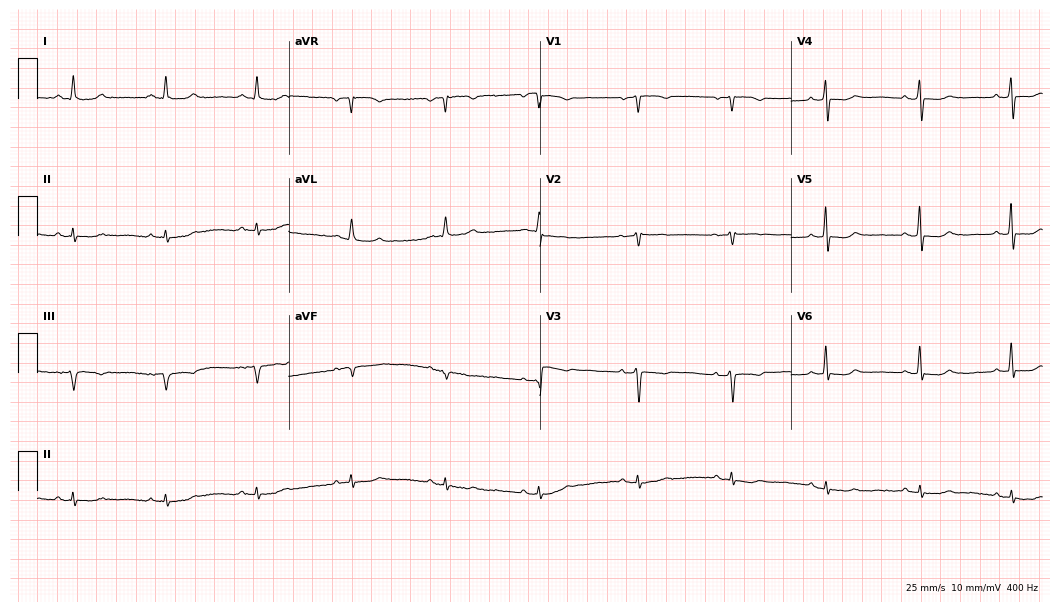
12-lead ECG from a 60-year-old female (10.2-second recording at 400 Hz). No first-degree AV block, right bundle branch block, left bundle branch block, sinus bradycardia, atrial fibrillation or sinus tachycardia recorded for this tracing. Only these six findings were labelled.